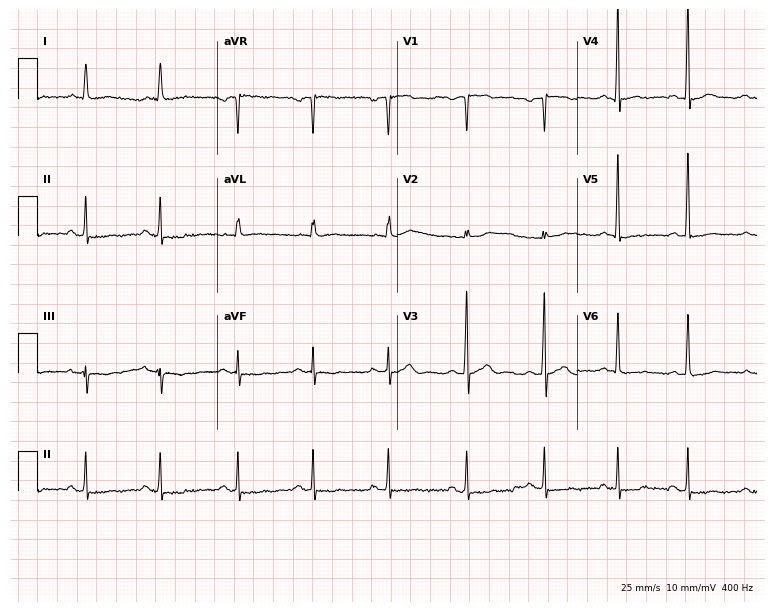
12-lead ECG from a 51-year-old man (7.3-second recording at 400 Hz). No first-degree AV block, right bundle branch block, left bundle branch block, sinus bradycardia, atrial fibrillation or sinus tachycardia recorded for this tracing. Other findings, if any, are not listed.